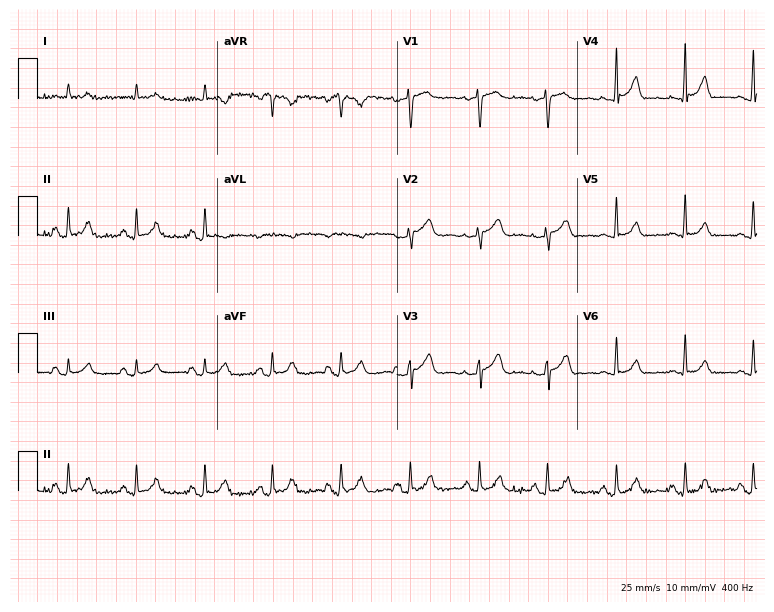
12-lead ECG (7.3-second recording at 400 Hz) from a man, 82 years old. Labelled as a normal ECG.